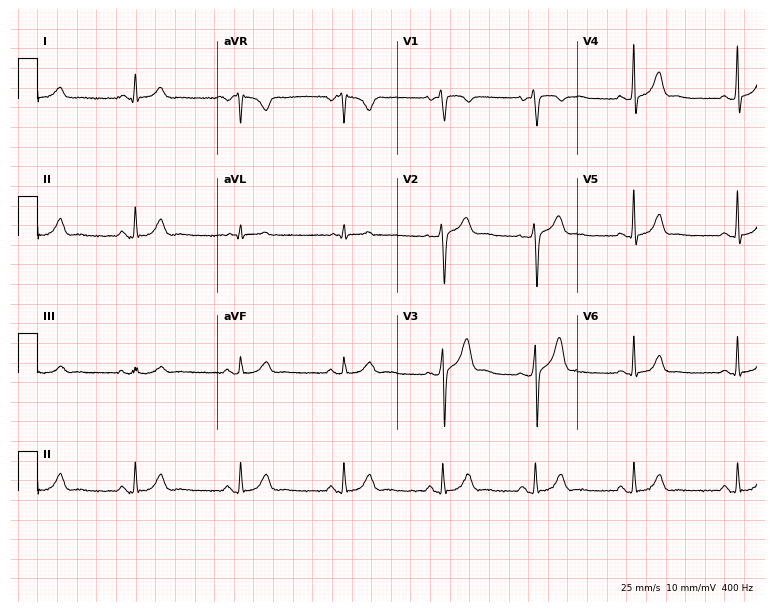
ECG (7.3-second recording at 400 Hz) — a man, 30 years old. Labelled as a normal ECG.